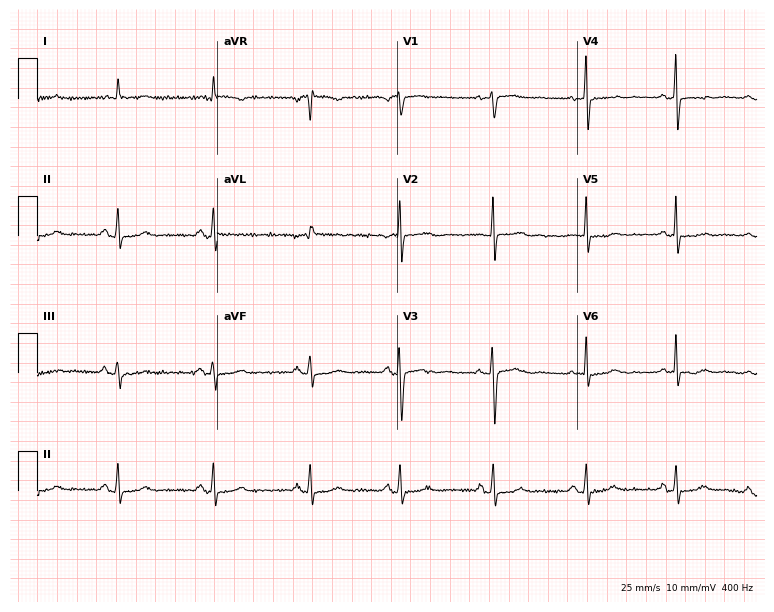
Resting 12-lead electrocardiogram (7.3-second recording at 400 Hz). Patient: a 40-year-old female. None of these six findings is recorded: first-degree AV block, right bundle branch block, left bundle branch block, sinus bradycardia, atrial fibrillation, sinus tachycardia.